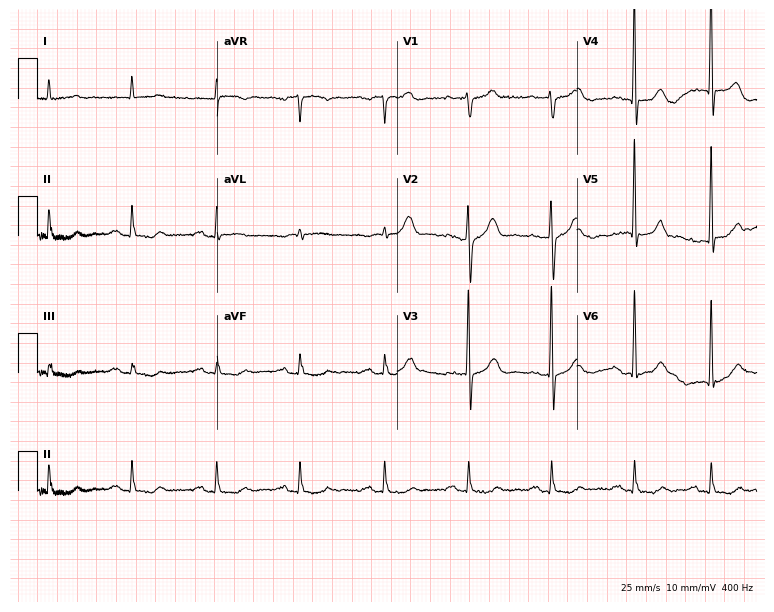
Resting 12-lead electrocardiogram (7.3-second recording at 400 Hz). Patient: an 82-year-old male. Read as a normal ECG.